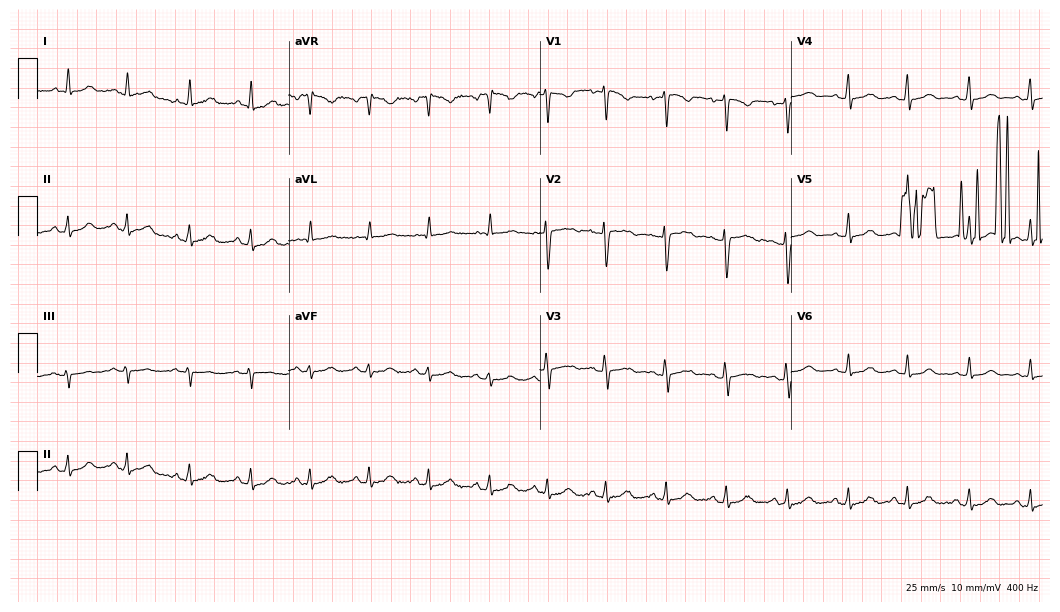
12-lead ECG from a female patient, 27 years old. Screened for six findings — first-degree AV block, right bundle branch block, left bundle branch block, sinus bradycardia, atrial fibrillation, sinus tachycardia — none is recorded.